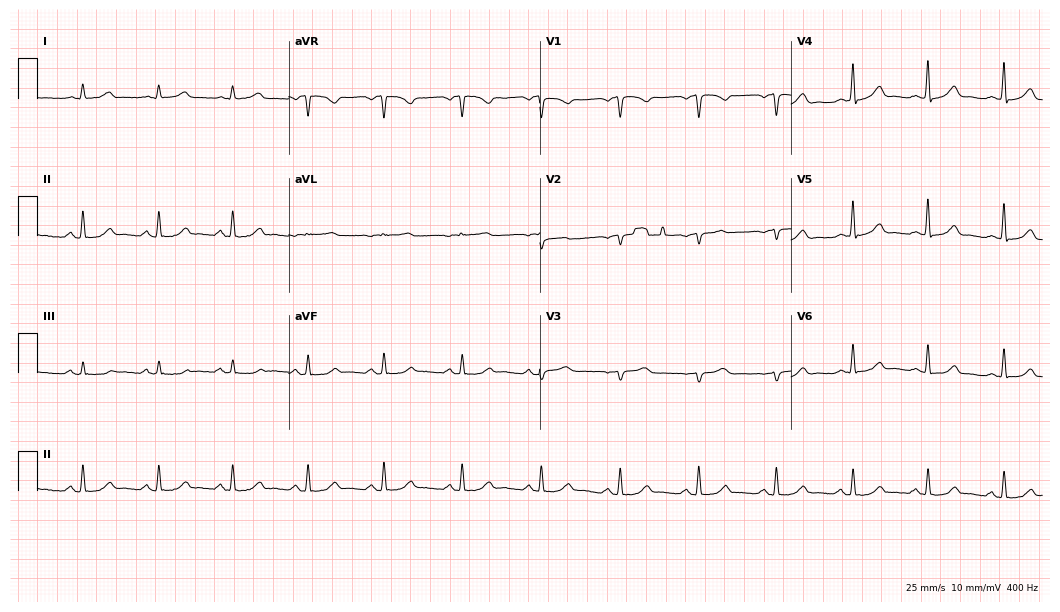
ECG (10.2-second recording at 400 Hz) — a 41-year-old female. Screened for six findings — first-degree AV block, right bundle branch block (RBBB), left bundle branch block (LBBB), sinus bradycardia, atrial fibrillation (AF), sinus tachycardia — none is recorded.